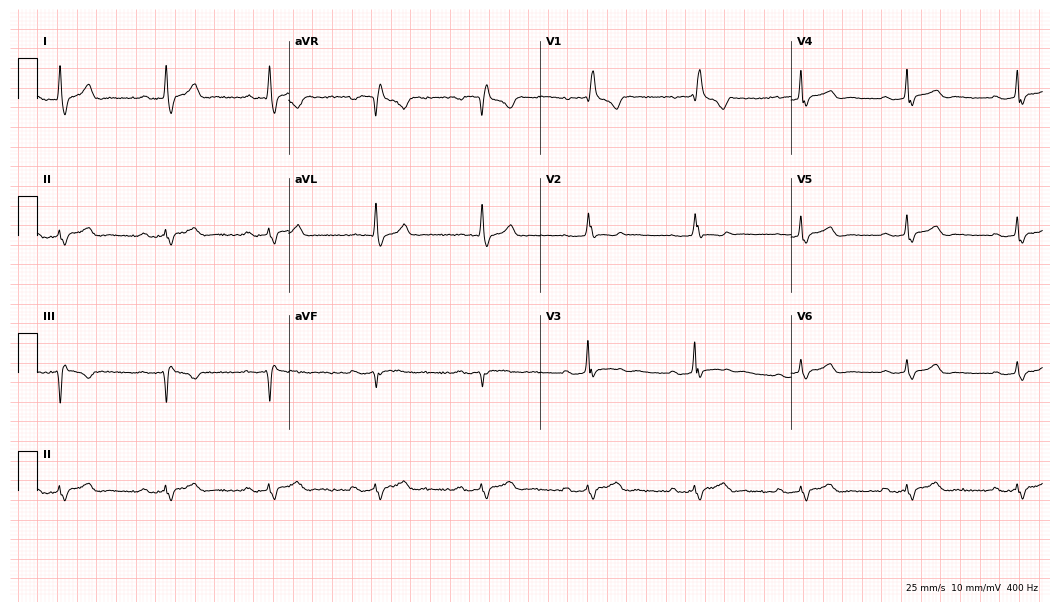
Electrocardiogram, a 39-year-old female. Interpretation includes first-degree AV block, right bundle branch block (RBBB).